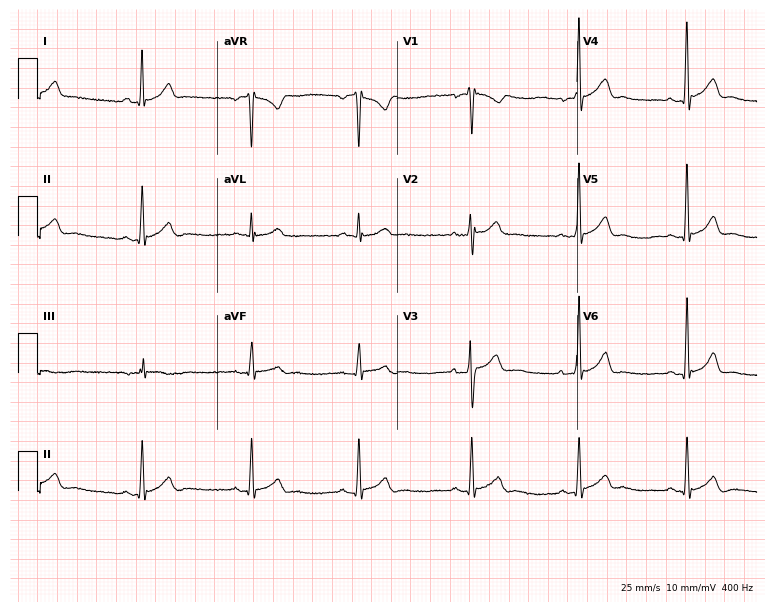
Electrocardiogram (7.3-second recording at 400 Hz), a 25-year-old man. Overall reading on record: normal ECG.